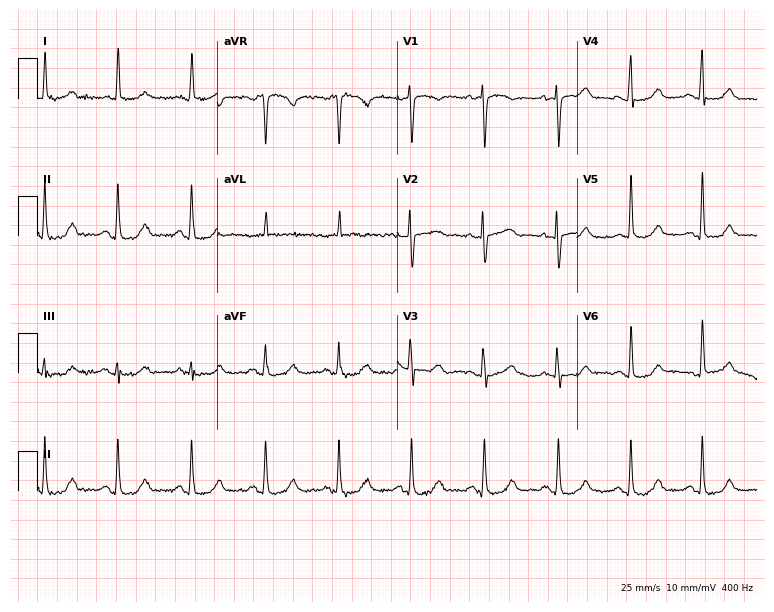
ECG (7.3-second recording at 400 Hz) — a female patient, 84 years old. Labelled as a normal ECG.